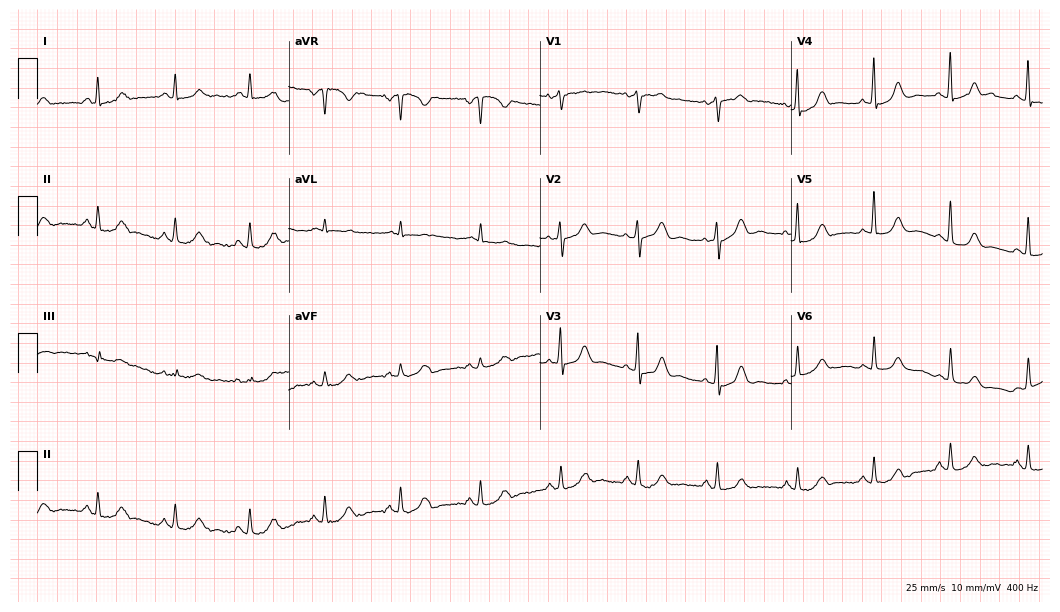
12-lead ECG from a female patient, 52 years old (10.2-second recording at 400 Hz). No first-degree AV block, right bundle branch block, left bundle branch block, sinus bradycardia, atrial fibrillation or sinus tachycardia recorded for this tracing.